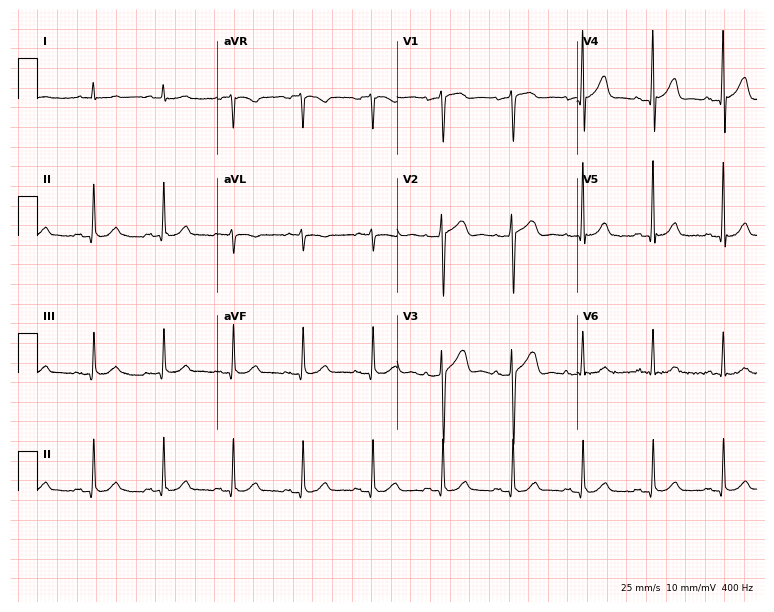
ECG — a 67-year-old male. Labelled as a normal ECG.